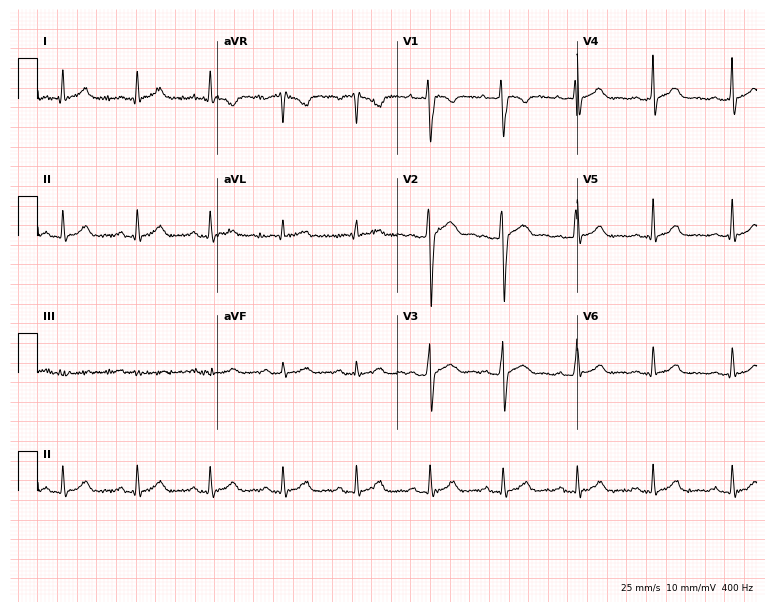
Electrocardiogram (7.3-second recording at 400 Hz), a 31-year-old male patient. Of the six screened findings (first-degree AV block, right bundle branch block, left bundle branch block, sinus bradycardia, atrial fibrillation, sinus tachycardia), none is recorded.